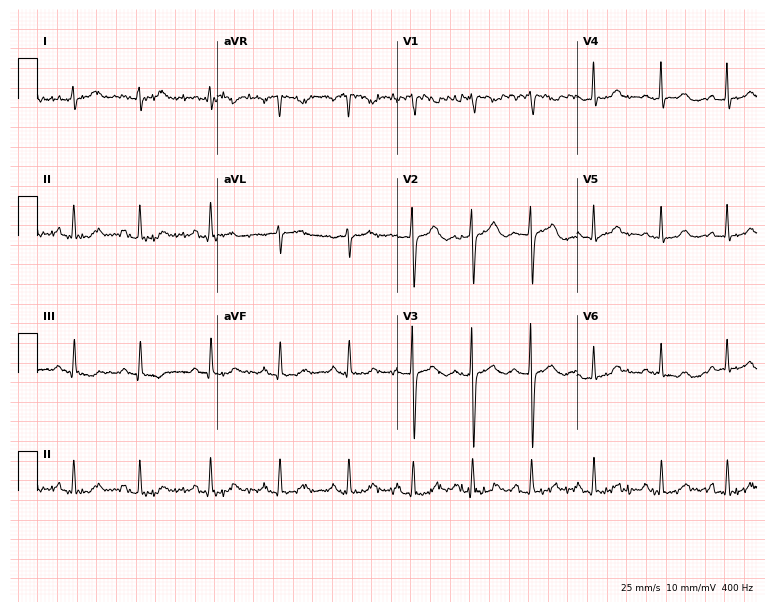
12-lead ECG (7.3-second recording at 400 Hz) from a woman, 29 years old. Screened for six findings — first-degree AV block, right bundle branch block, left bundle branch block, sinus bradycardia, atrial fibrillation, sinus tachycardia — none is recorded.